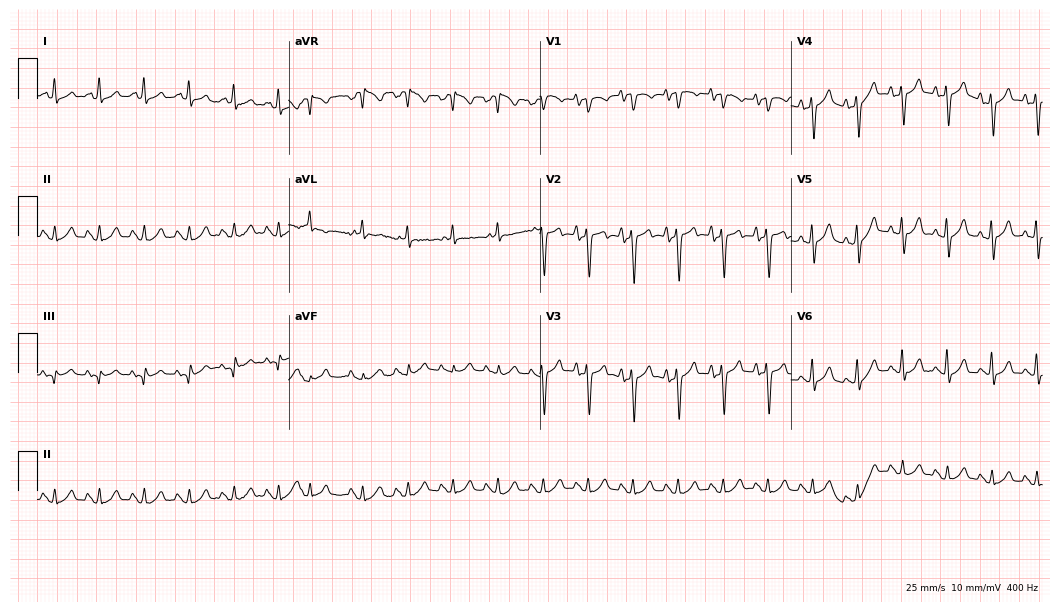
ECG (10.2-second recording at 400 Hz) — a female patient, 76 years old. Findings include sinus tachycardia (a sinus rate of 100 beats per minute or more).